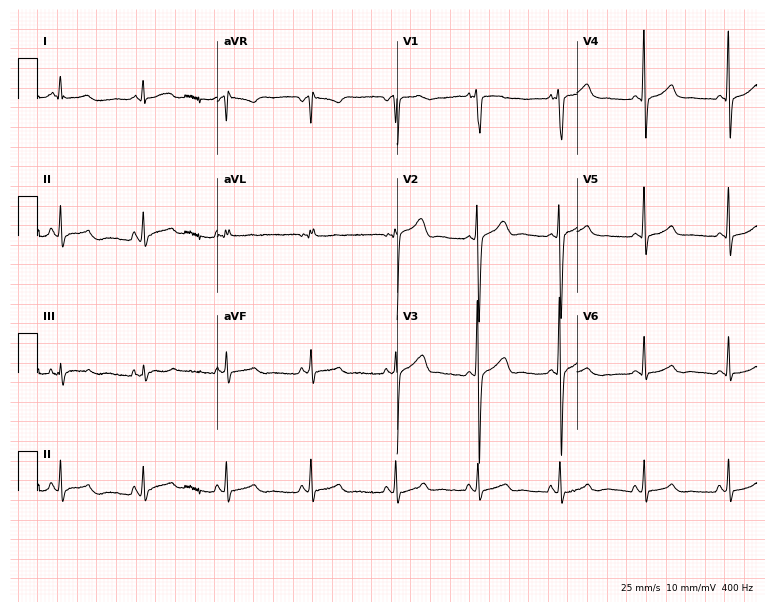
Electrocardiogram (7.3-second recording at 400 Hz), a male, 20 years old. Of the six screened findings (first-degree AV block, right bundle branch block, left bundle branch block, sinus bradycardia, atrial fibrillation, sinus tachycardia), none is recorded. Other findings, if any, are not listed.